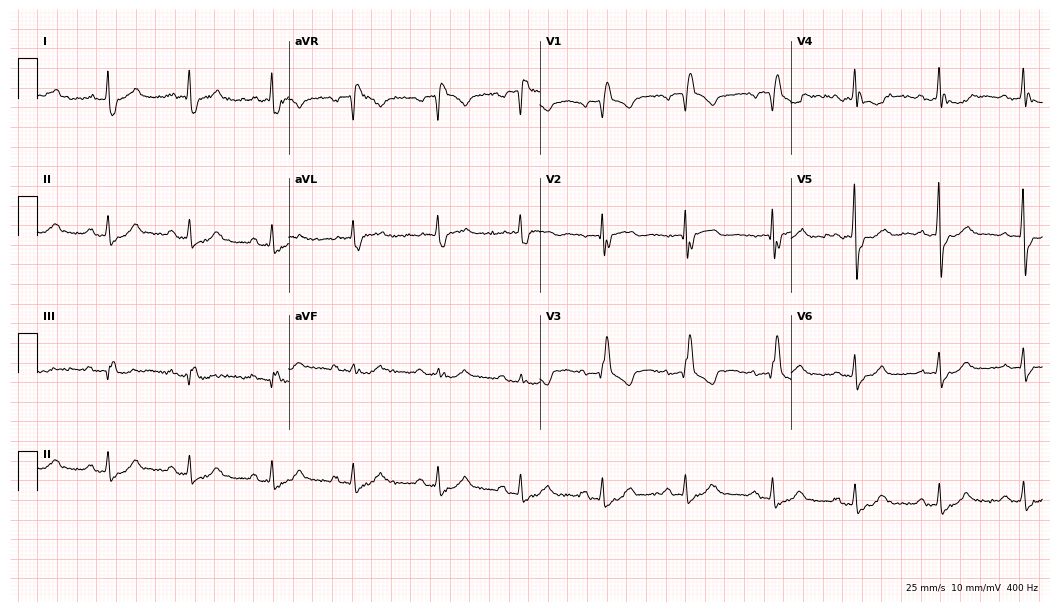
Electrocardiogram, a man, 72 years old. Interpretation includes right bundle branch block.